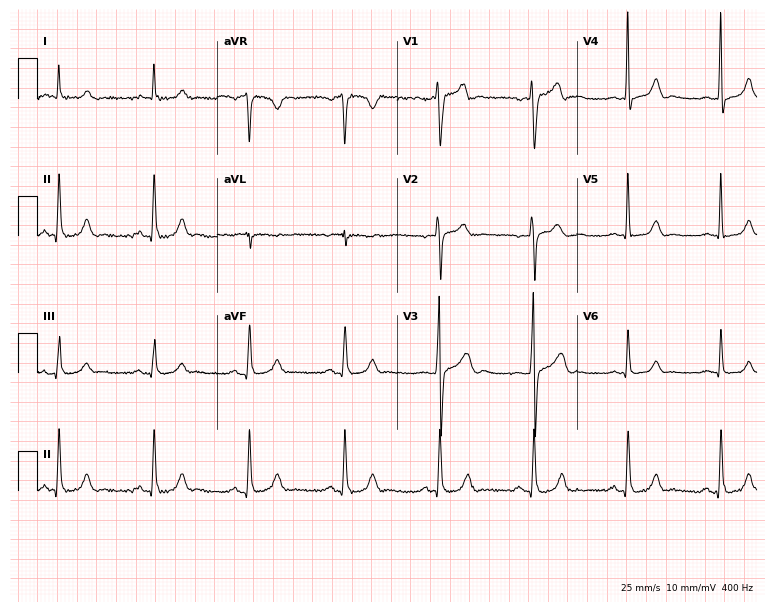
Electrocardiogram (7.3-second recording at 400 Hz), a 33-year-old male patient. Of the six screened findings (first-degree AV block, right bundle branch block, left bundle branch block, sinus bradycardia, atrial fibrillation, sinus tachycardia), none is recorded. Only these six findings were labelled.